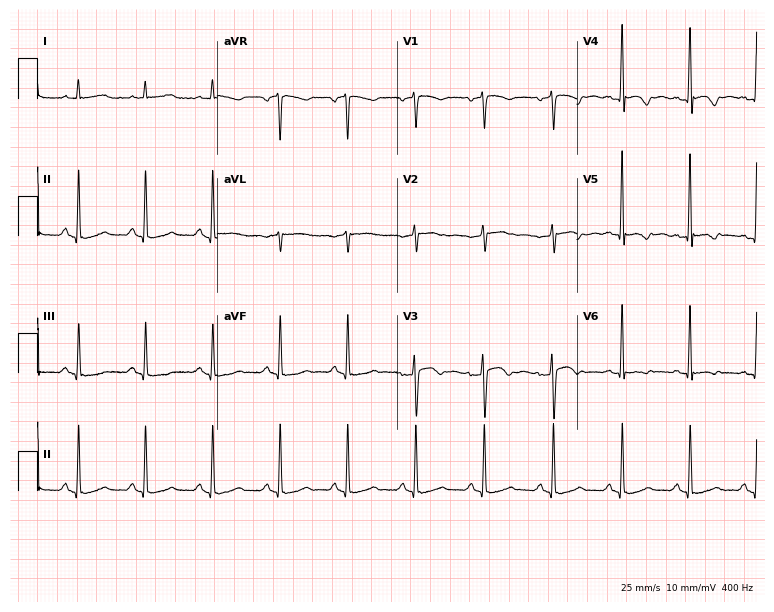
12-lead ECG from a 52-year-old female. Screened for six findings — first-degree AV block, right bundle branch block, left bundle branch block, sinus bradycardia, atrial fibrillation, sinus tachycardia — none is recorded.